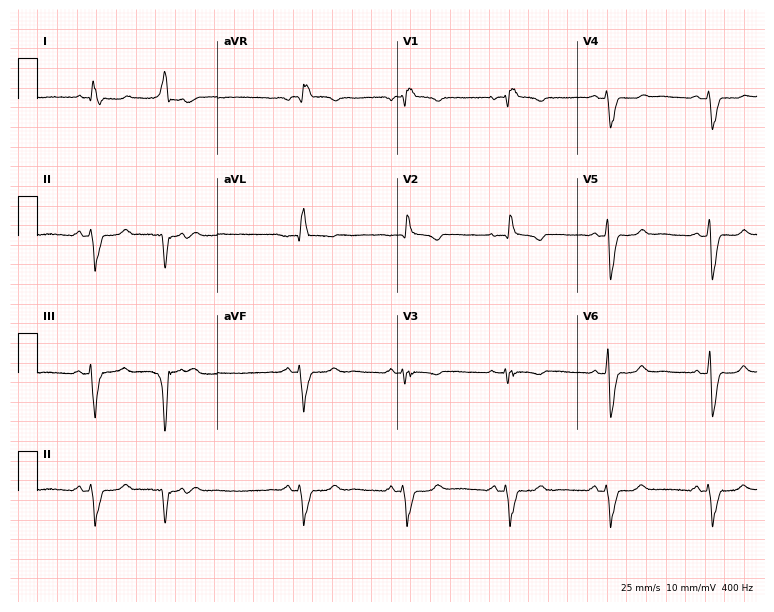
Resting 12-lead electrocardiogram (7.3-second recording at 400 Hz). Patient: a female, 69 years old. None of these six findings is recorded: first-degree AV block, right bundle branch block (RBBB), left bundle branch block (LBBB), sinus bradycardia, atrial fibrillation (AF), sinus tachycardia.